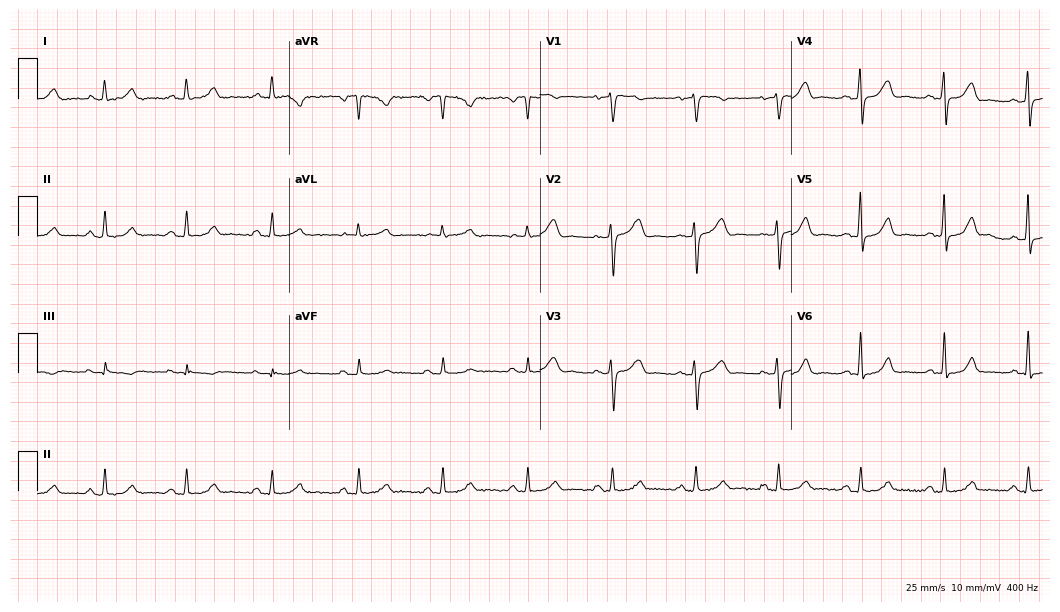
Standard 12-lead ECG recorded from a female, 58 years old. None of these six findings is recorded: first-degree AV block, right bundle branch block, left bundle branch block, sinus bradycardia, atrial fibrillation, sinus tachycardia.